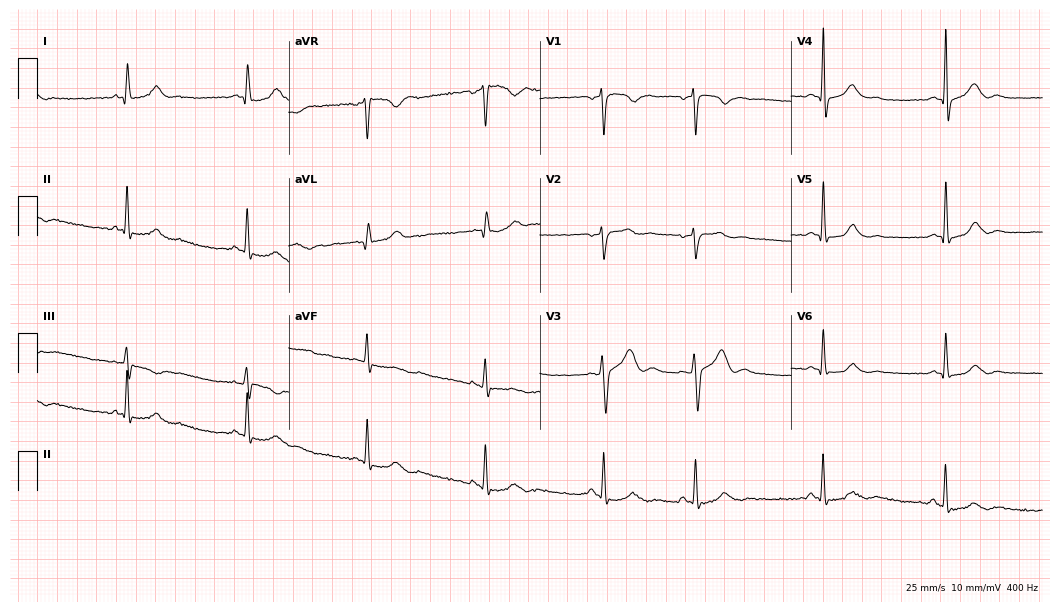
Resting 12-lead electrocardiogram (10.2-second recording at 400 Hz). Patient: a woman, 26 years old. Read as a normal ECG.